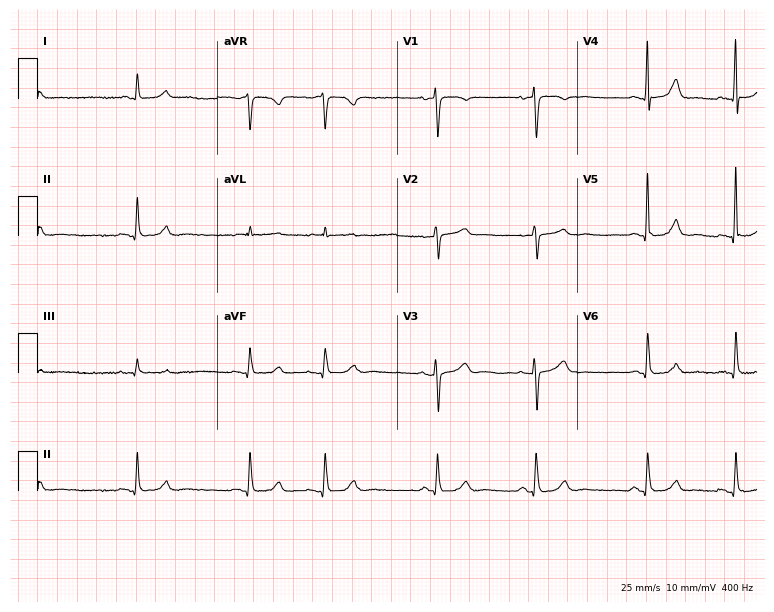
12-lead ECG (7.3-second recording at 400 Hz) from an 84-year-old woman. Labelled as a normal ECG.